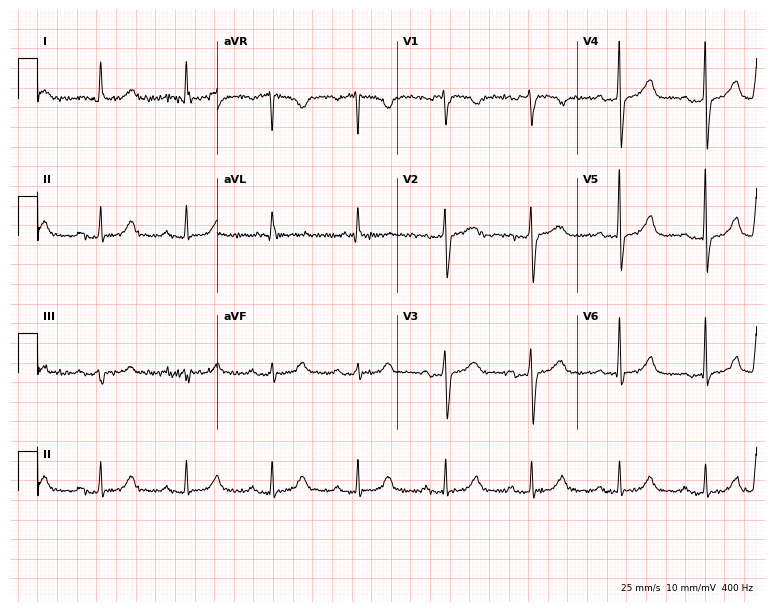
Resting 12-lead electrocardiogram (7.3-second recording at 400 Hz). Patient: a 68-year-old female. None of these six findings is recorded: first-degree AV block, right bundle branch block (RBBB), left bundle branch block (LBBB), sinus bradycardia, atrial fibrillation (AF), sinus tachycardia. Only these six findings were labelled.